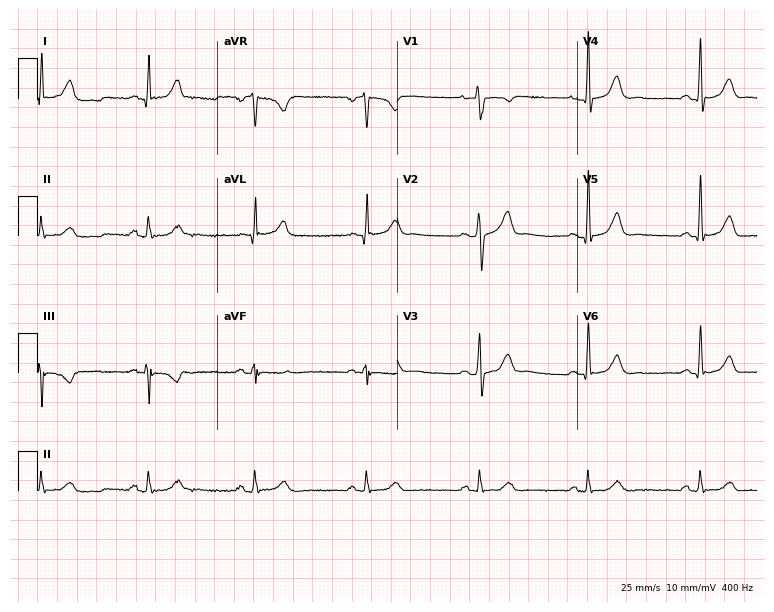
Resting 12-lead electrocardiogram (7.3-second recording at 400 Hz). Patient: a 43-year-old male. None of these six findings is recorded: first-degree AV block, right bundle branch block, left bundle branch block, sinus bradycardia, atrial fibrillation, sinus tachycardia. Only these six findings were labelled.